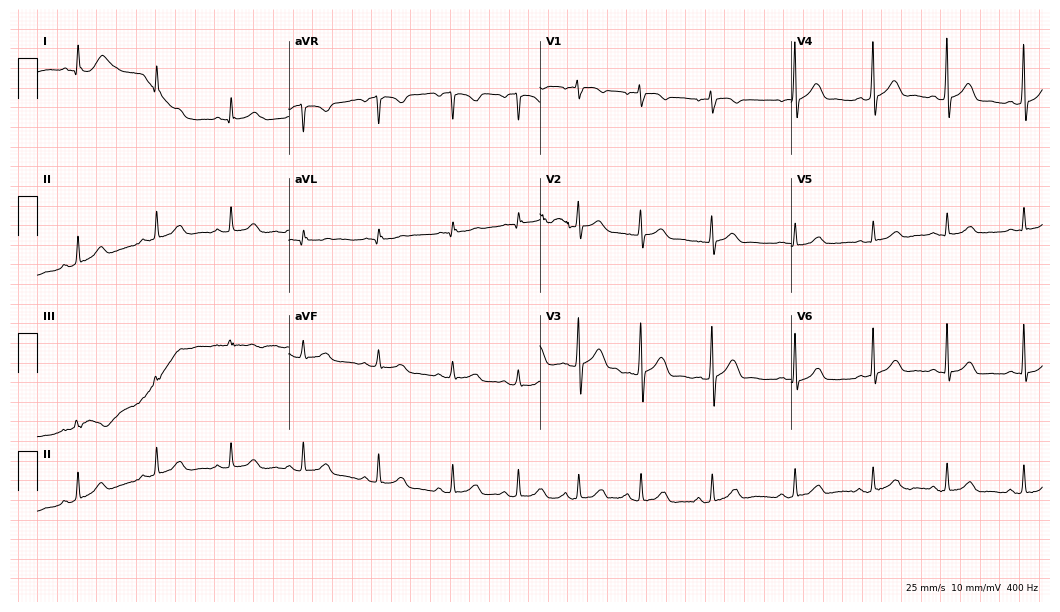
Resting 12-lead electrocardiogram. Patient: a 21-year-old female. Read as a normal ECG.